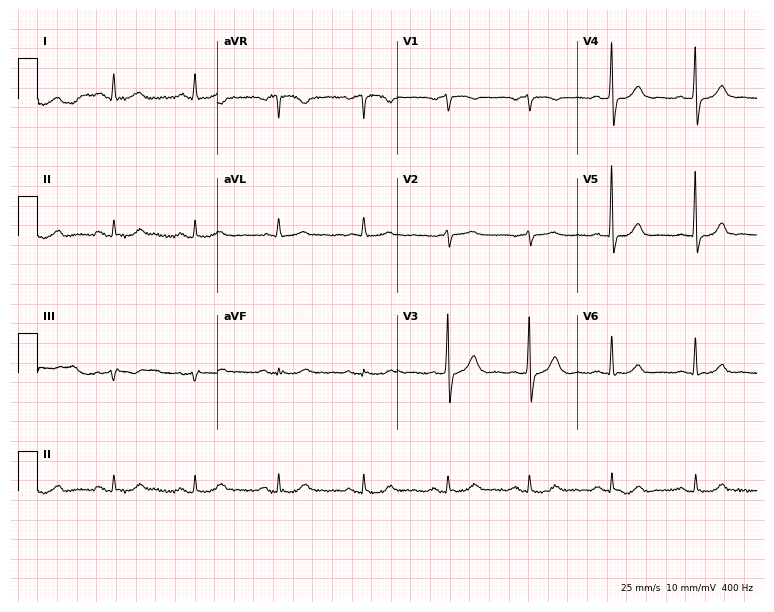
12-lead ECG from a 63-year-old man. Recorded interpretation: within normal limits.